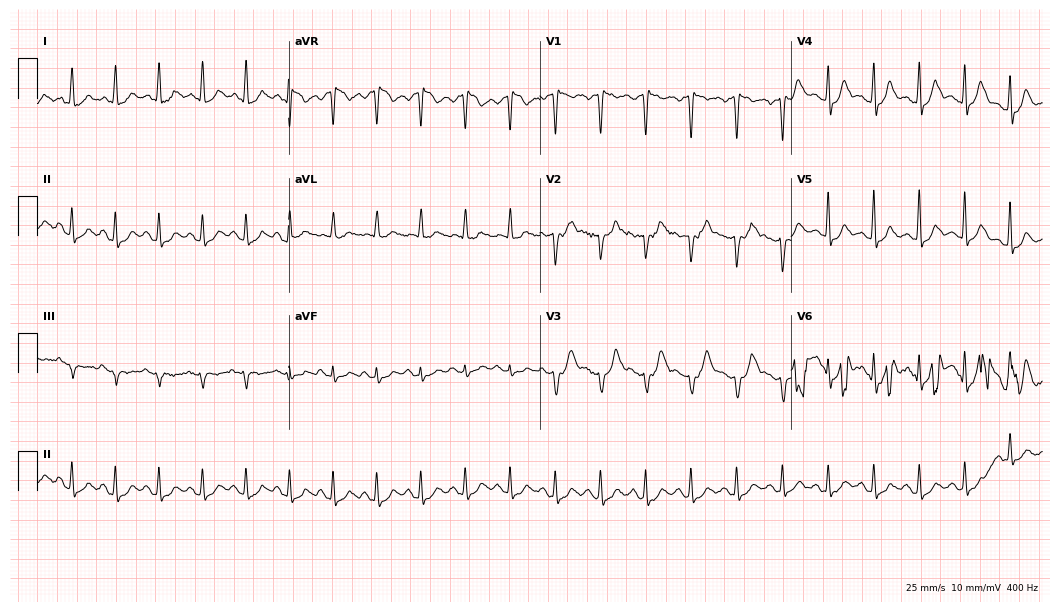
ECG — a woman, 44 years old. Screened for six findings — first-degree AV block, right bundle branch block, left bundle branch block, sinus bradycardia, atrial fibrillation, sinus tachycardia — none is recorded. Only these six findings were labelled.